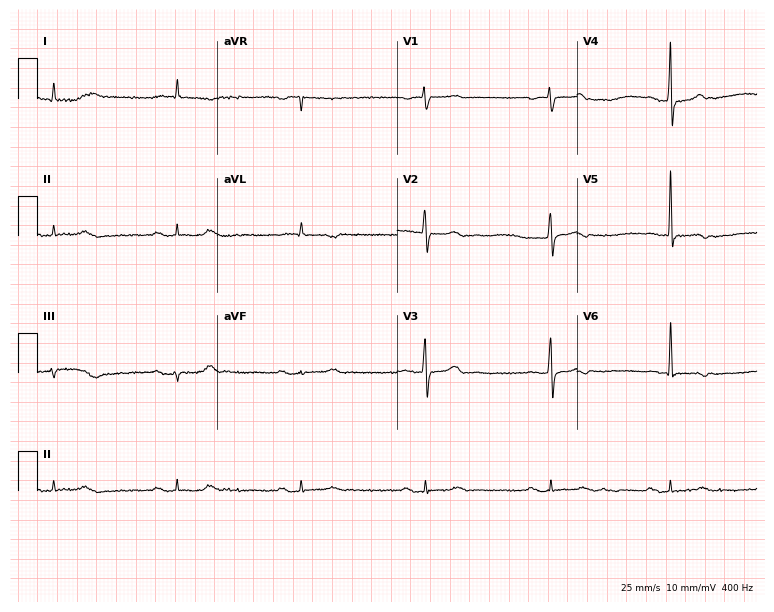
ECG (7.3-second recording at 400 Hz) — a female patient, 80 years old. Findings include sinus bradycardia (a sinus rate of 50 beats per minute or less).